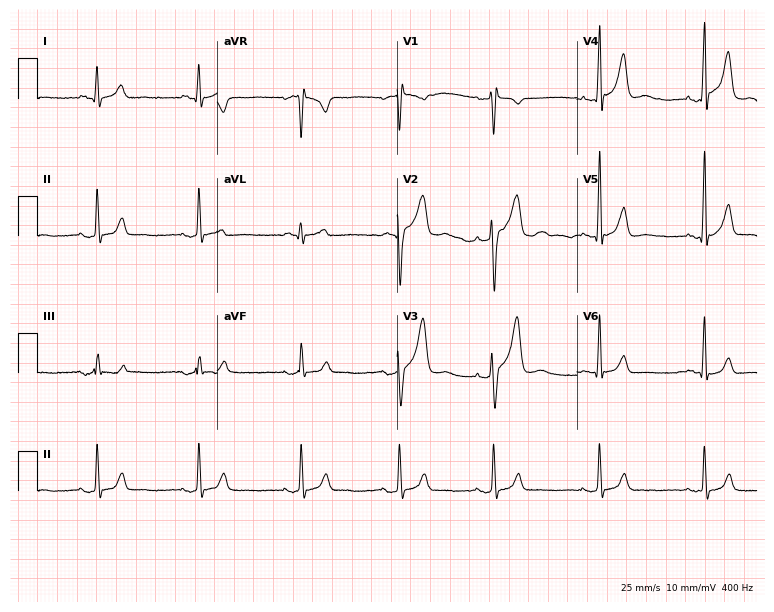
Electrocardiogram (7.3-second recording at 400 Hz), a 29-year-old male. Of the six screened findings (first-degree AV block, right bundle branch block, left bundle branch block, sinus bradycardia, atrial fibrillation, sinus tachycardia), none is recorded.